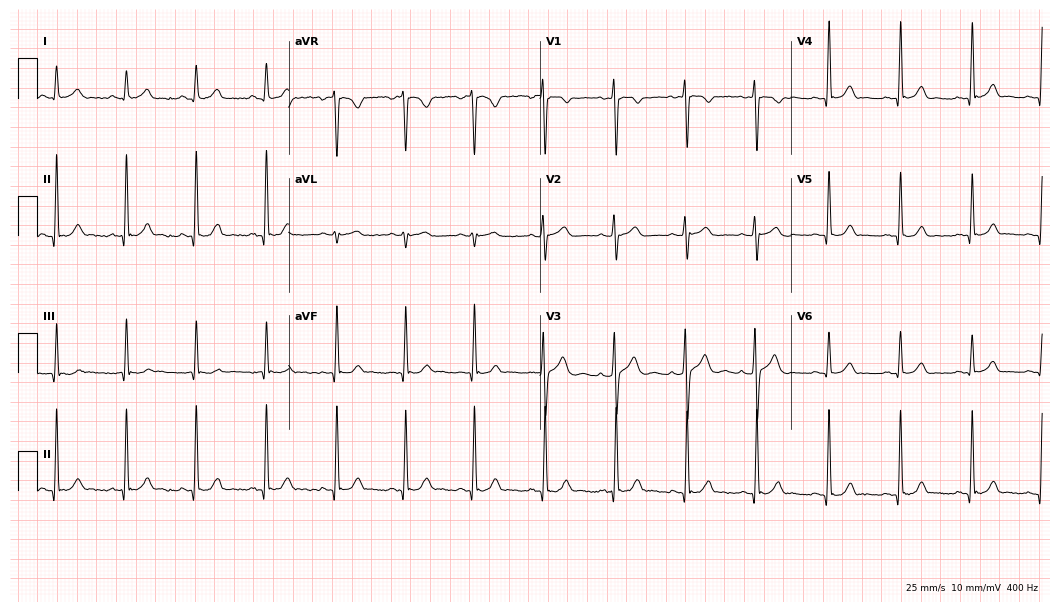
ECG (10.2-second recording at 400 Hz) — a 26-year-old woman. Screened for six findings — first-degree AV block, right bundle branch block, left bundle branch block, sinus bradycardia, atrial fibrillation, sinus tachycardia — none is recorded.